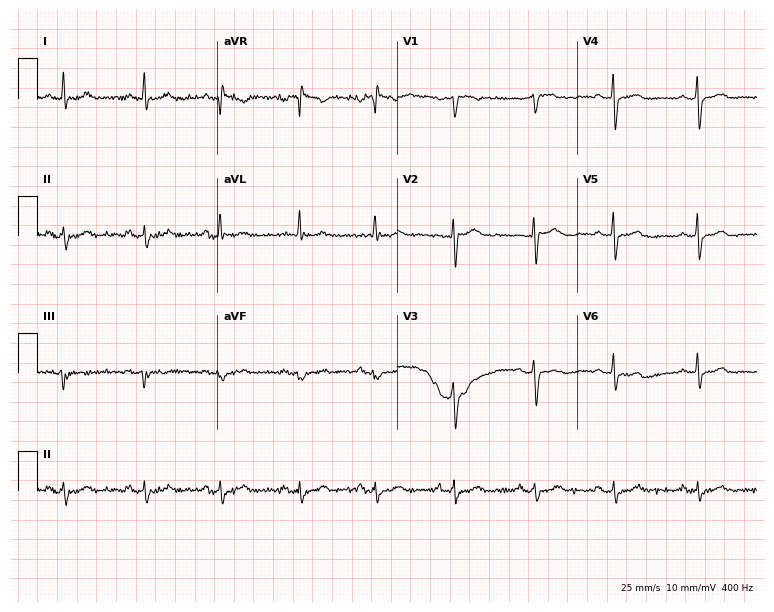
Standard 12-lead ECG recorded from a 41-year-old female patient (7.3-second recording at 400 Hz). None of these six findings is recorded: first-degree AV block, right bundle branch block, left bundle branch block, sinus bradycardia, atrial fibrillation, sinus tachycardia.